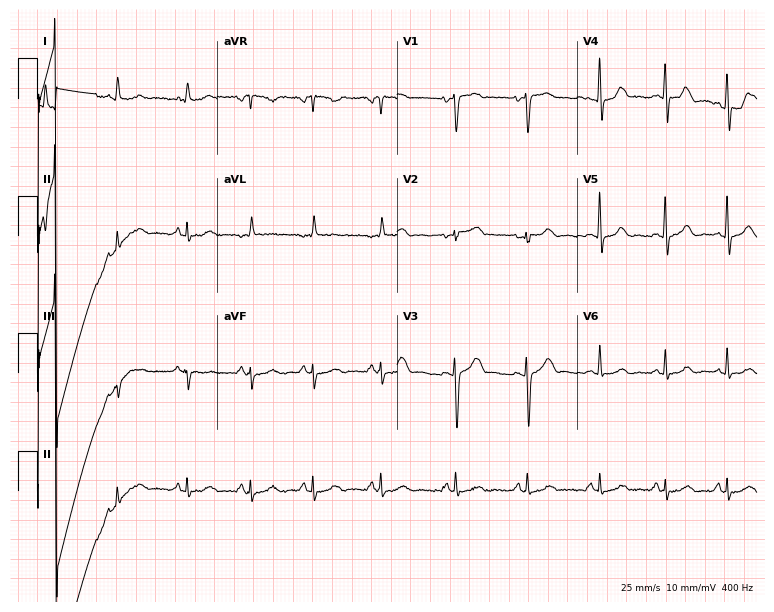
Standard 12-lead ECG recorded from a female patient, 41 years old. None of these six findings is recorded: first-degree AV block, right bundle branch block (RBBB), left bundle branch block (LBBB), sinus bradycardia, atrial fibrillation (AF), sinus tachycardia. Findings outside these six are not listed.